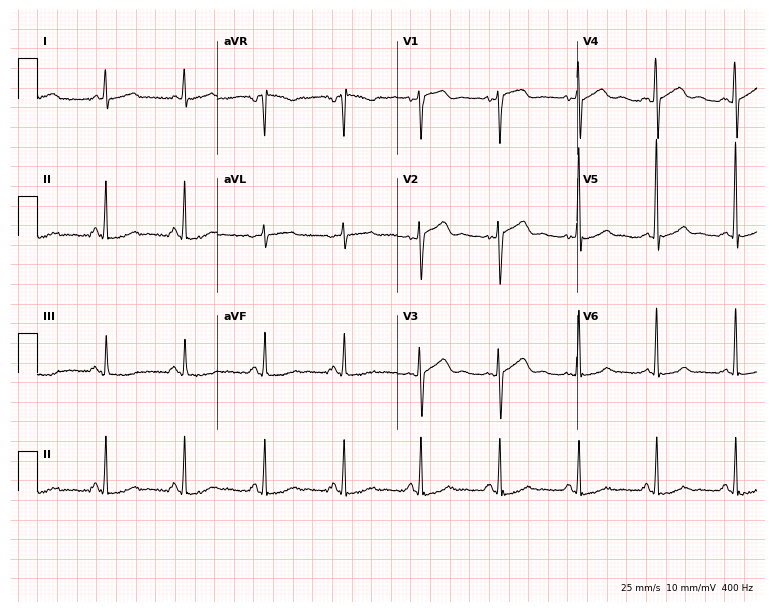
Electrocardiogram, a 54-year-old female patient. Of the six screened findings (first-degree AV block, right bundle branch block, left bundle branch block, sinus bradycardia, atrial fibrillation, sinus tachycardia), none is recorded.